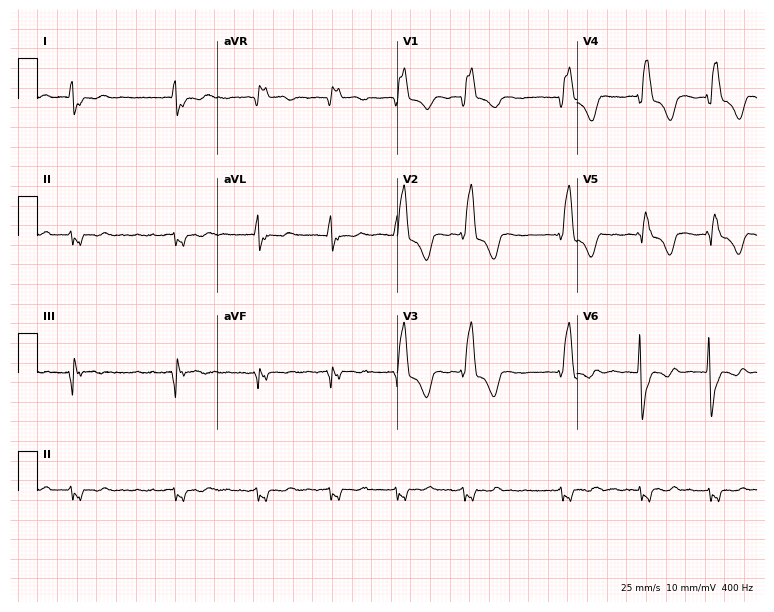
12-lead ECG from a female, 54 years old. Findings include right bundle branch block, atrial fibrillation.